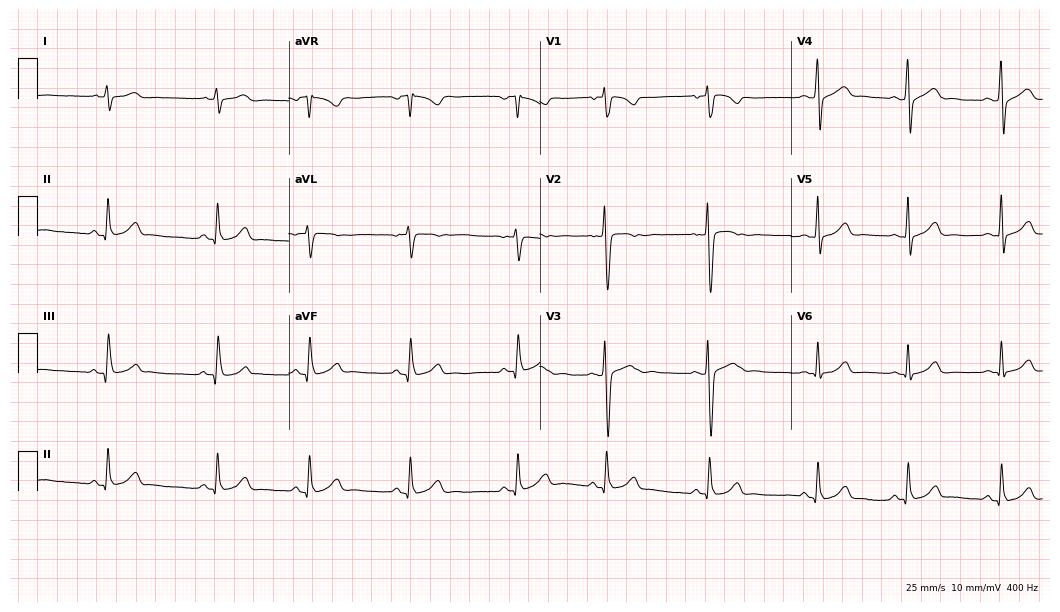
Resting 12-lead electrocardiogram (10.2-second recording at 400 Hz). Patient: a female, 21 years old. None of these six findings is recorded: first-degree AV block, right bundle branch block (RBBB), left bundle branch block (LBBB), sinus bradycardia, atrial fibrillation (AF), sinus tachycardia.